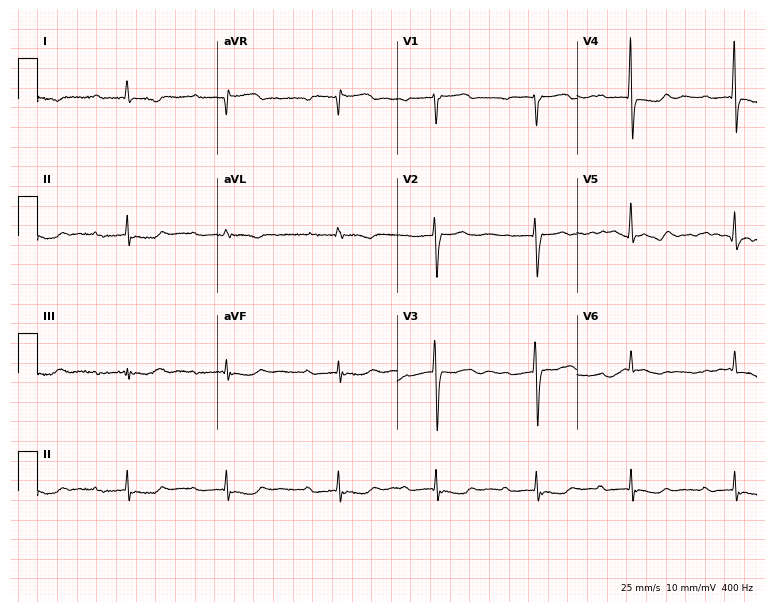
Resting 12-lead electrocardiogram. Patient: an 85-year-old male. The tracing shows first-degree AV block.